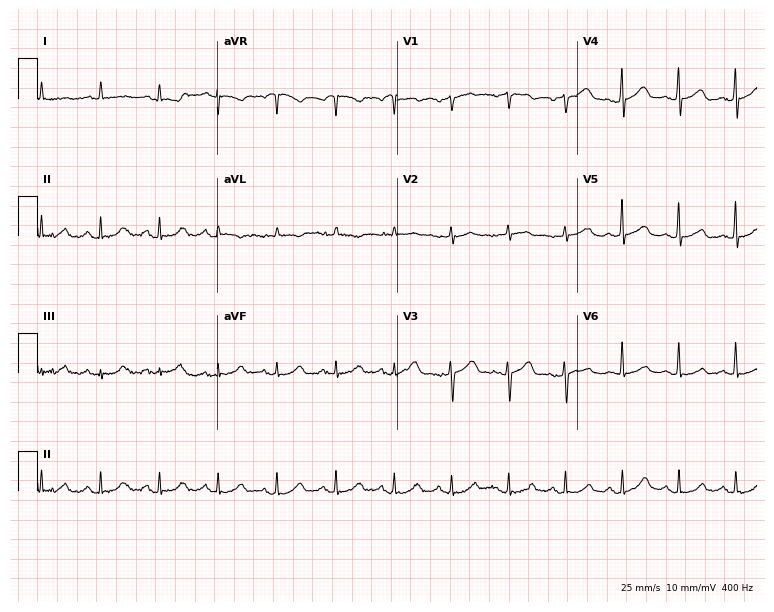
Resting 12-lead electrocardiogram. Patient: a 63-year-old male. The tracing shows sinus tachycardia (a sinus rate of 100 beats per minute or more).